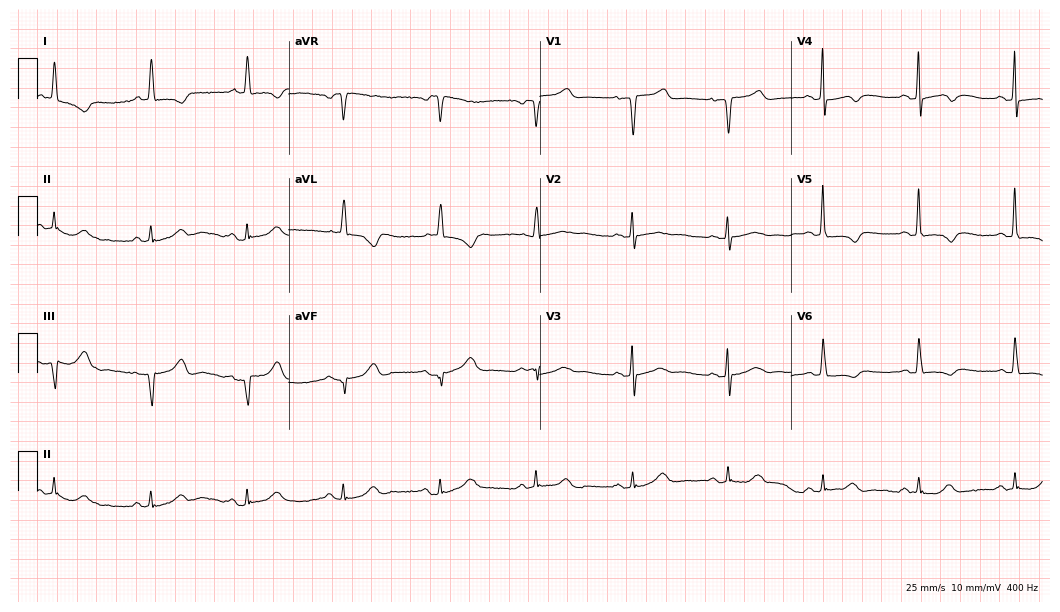
Standard 12-lead ECG recorded from a 71-year-old female patient (10.2-second recording at 400 Hz). None of these six findings is recorded: first-degree AV block, right bundle branch block (RBBB), left bundle branch block (LBBB), sinus bradycardia, atrial fibrillation (AF), sinus tachycardia.